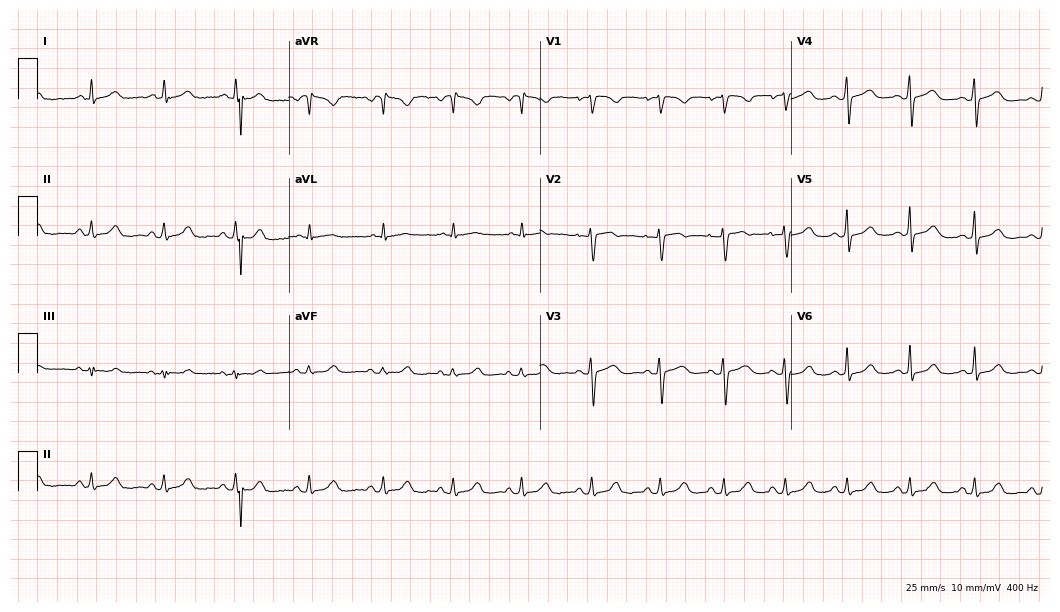
Electrocardiogram (10.2-second recording at 400 Hz), a female patient, 26 years old. Of the six screened findings (first-degree AV block, right bundle branch block (RBBB), left bundle branch block (LBBB), sinus bradycardia, atrial fibrillation (AF), sinus tachycardia), none is recorded. Other findings, if any, are not listed.